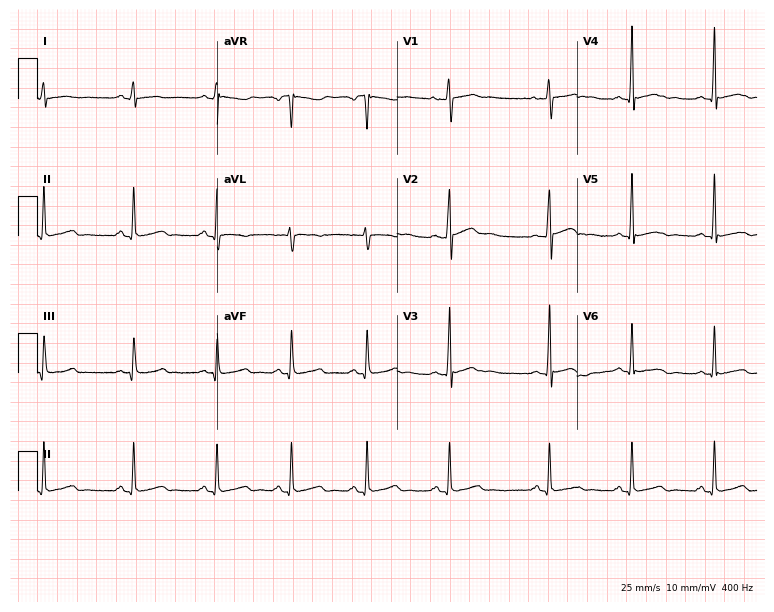
ECG — a 25-year-old female. Screened for six findings — first-degree AV block, right bundle branch block (RBBB), left bundle branch block (LBBB), sinus bradycardia, atrial fibrillation (AF), sinus tachycardia — none is recorded.